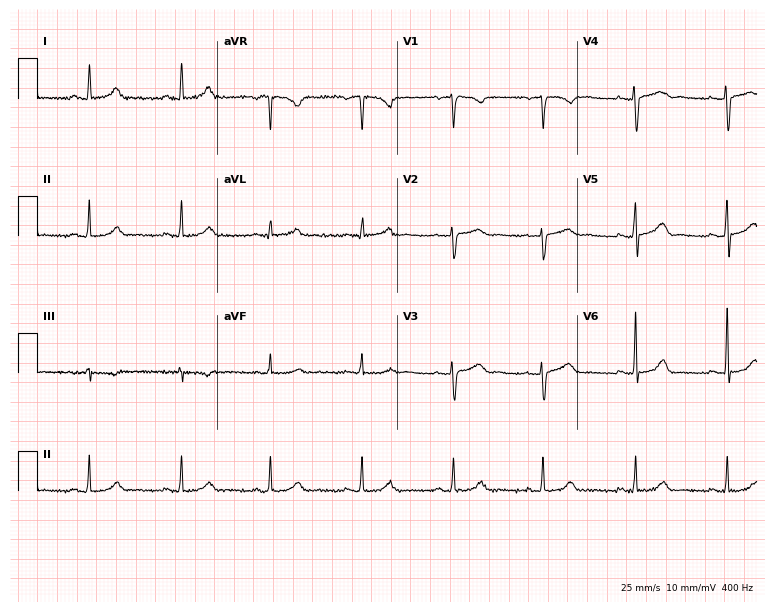
ECG (7.3-second recording at 400 Hz) — a woman, 41 years old. Labelled as a normal ECG.